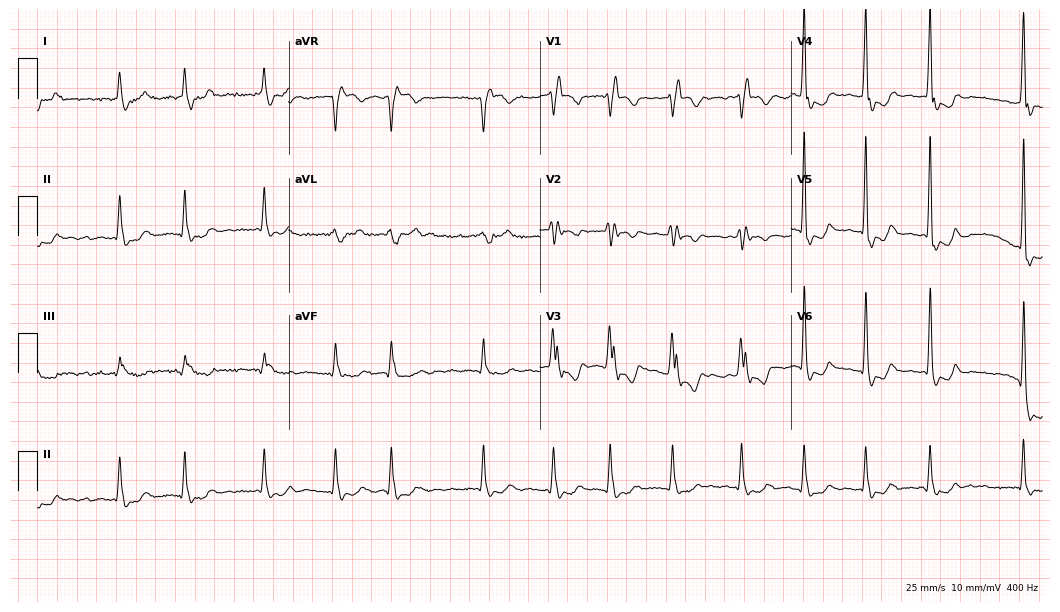
Resting 12-lead electrocardiogram (10.2-second recording at 400 Hz). Patient: a female, 84 years old. The tracing shows right bundle branch block (RBBB), atrial fibrillation (AF).